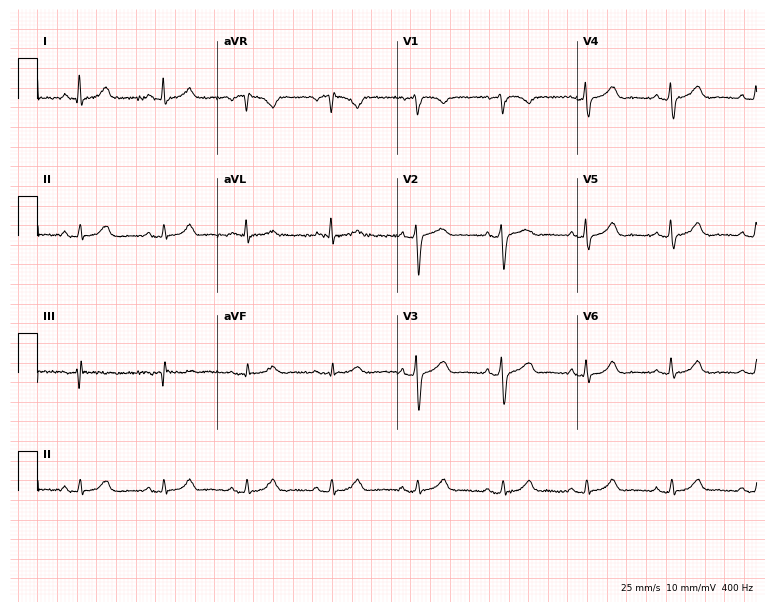
12-lead ECG from a male, 67 years old (7.3-second recording at 400 Hz). Recorded interpretation: within normal limits.